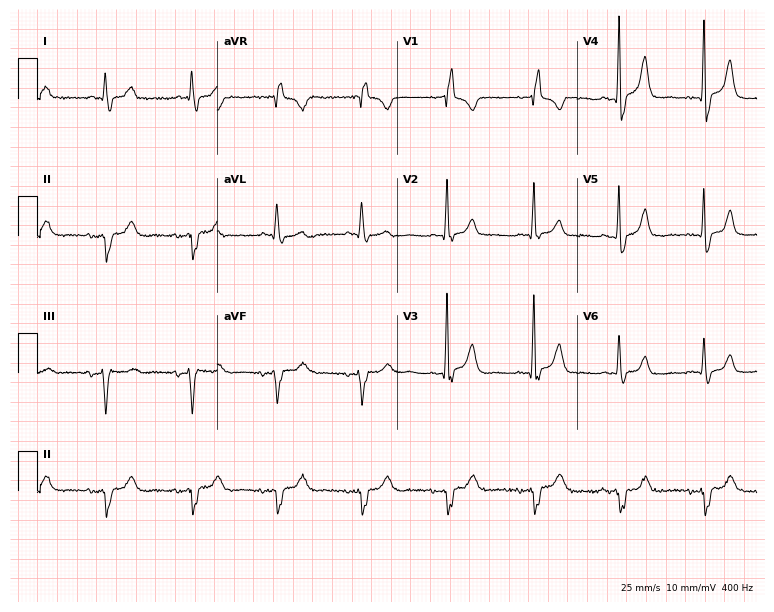
Resting 12-lead electrocardiogram. Patient: a man, 85 years old. The tracing shows right bundle branch block (RBBB).